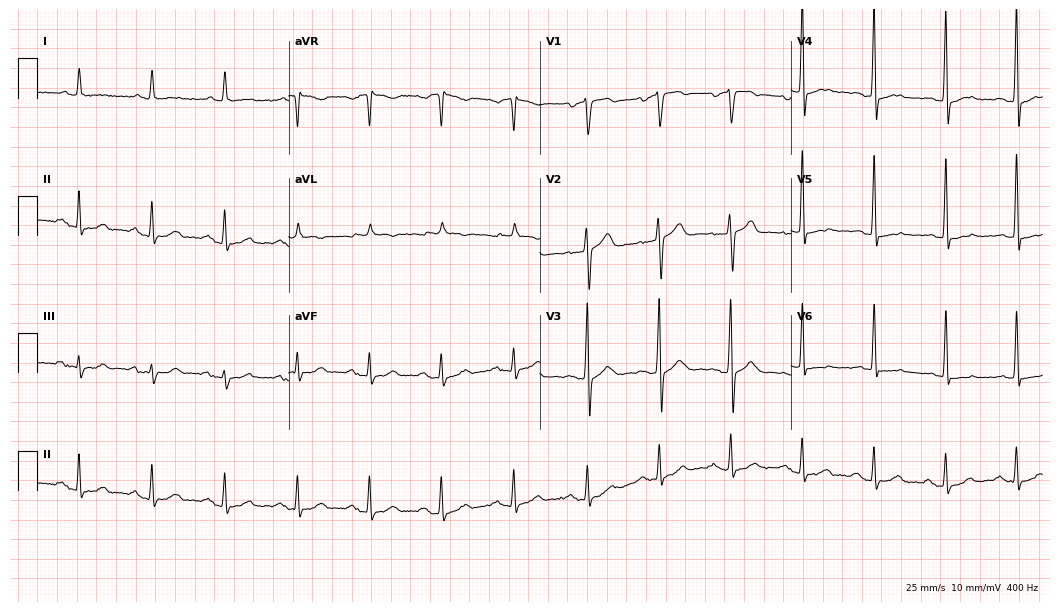
Electrocardiogram (10.2-second recording at 400 Hz), a man, 73 years old. Overall reading on record: normal ECG.